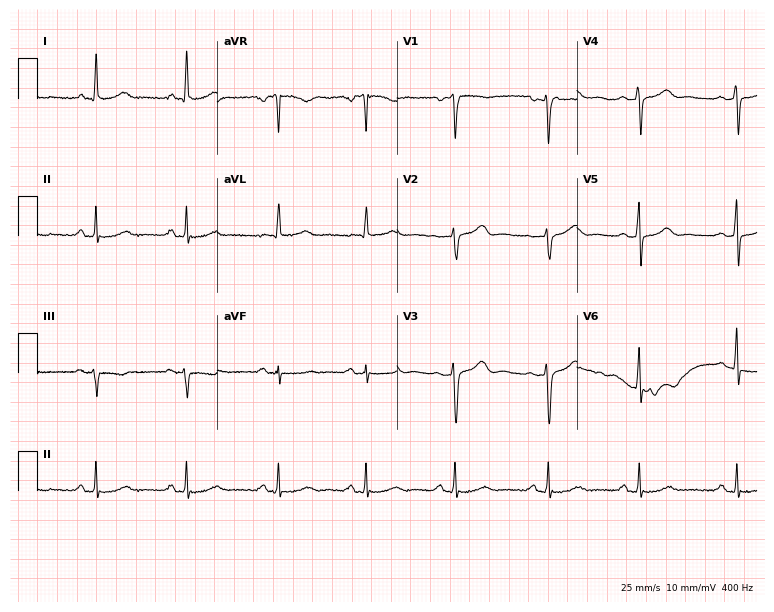
12-lead ECG from a 56-year-old female. Screened for six findings — first-degree AV block, right bundle branch block, left bundle branch block, sinus bradycardia, atrial fibrillation, sinus tachycardia — none is recorded. Findings outside these six are not listed.